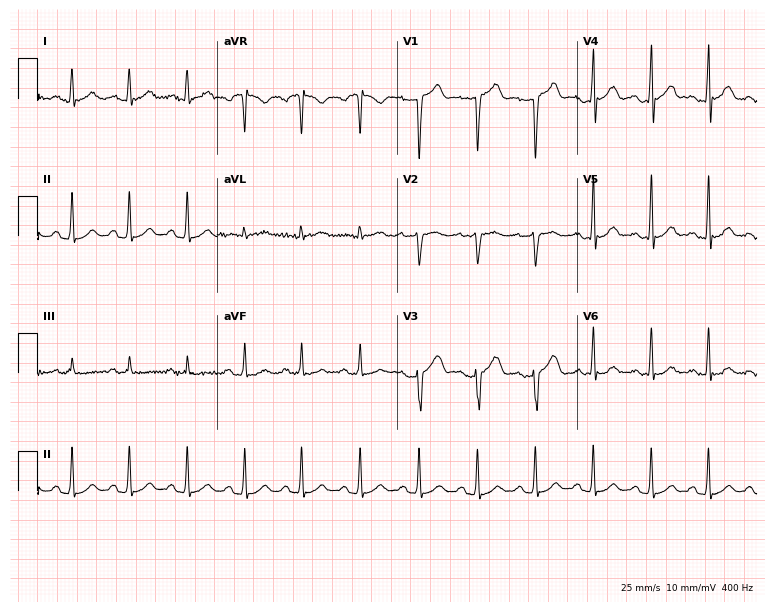
ECG (7.3-second recording at 400 Hz) — a male, 21 years old. Findings include sinus tachycardia (a sinus rate of 100 beats per minute or more).